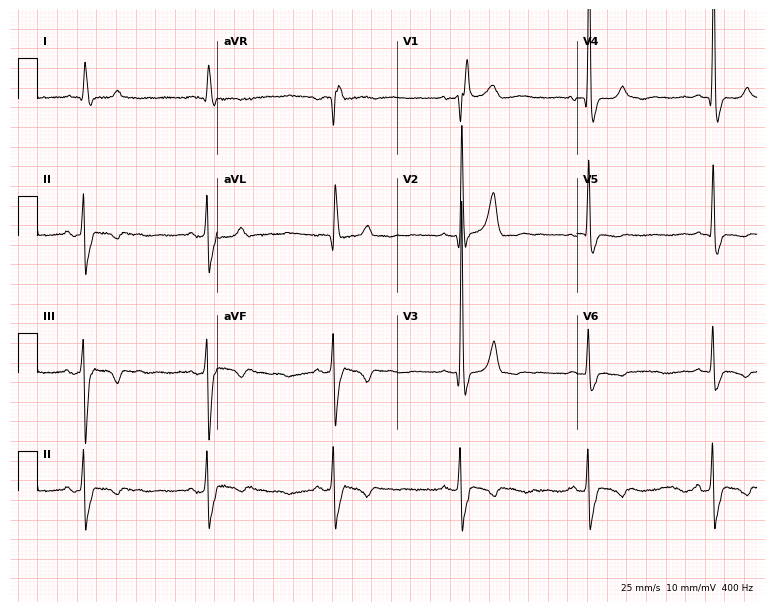
12-lead ECG (7.3-second recording at 400 Hz) from a male, 70 years old. Findings include right bundle branch block, sinus bradycardia (a sinus rate of 50 beats per minute or less).